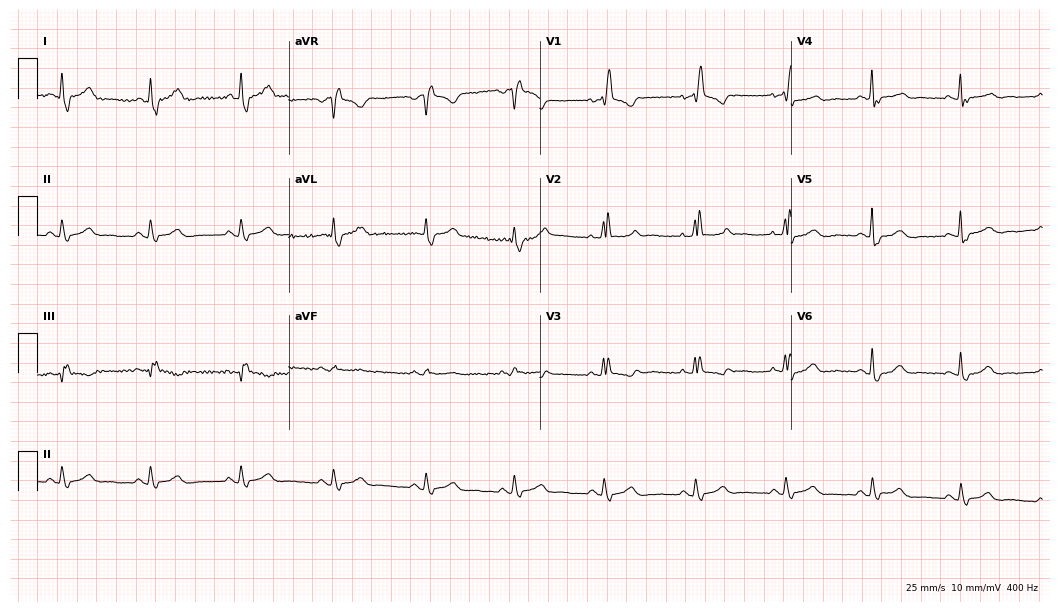
12-lead ECG from a woman, 59 years old (10.2-second recording at 400 Hz). Shows right bundle branch block.